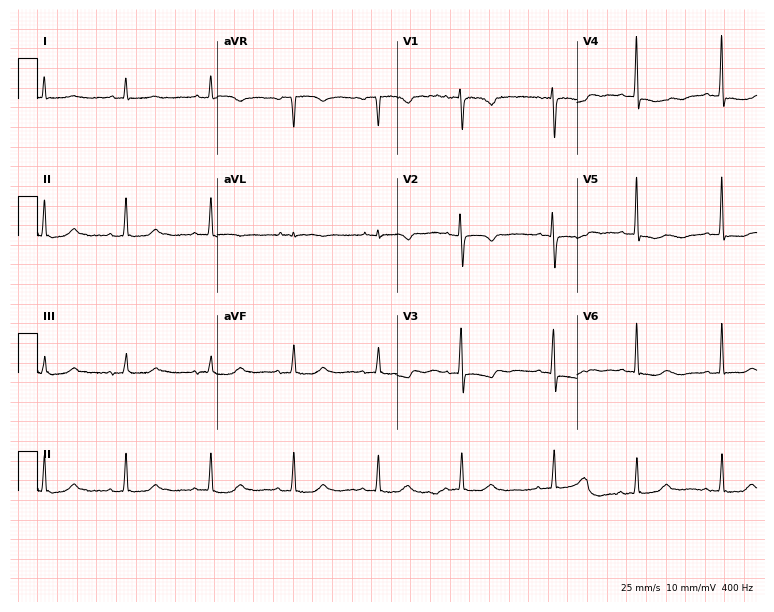
Standard 12-lead ECG recorded from a 69-year-old female patient. None of these six findings is recorded: first-degree AV block, right bundle branch block (RBBB), left bundle branch block (LBBB), sinus bradycardia, atrial fibrillation (AF), sinus tachycardia. Only these six findings were labelled.